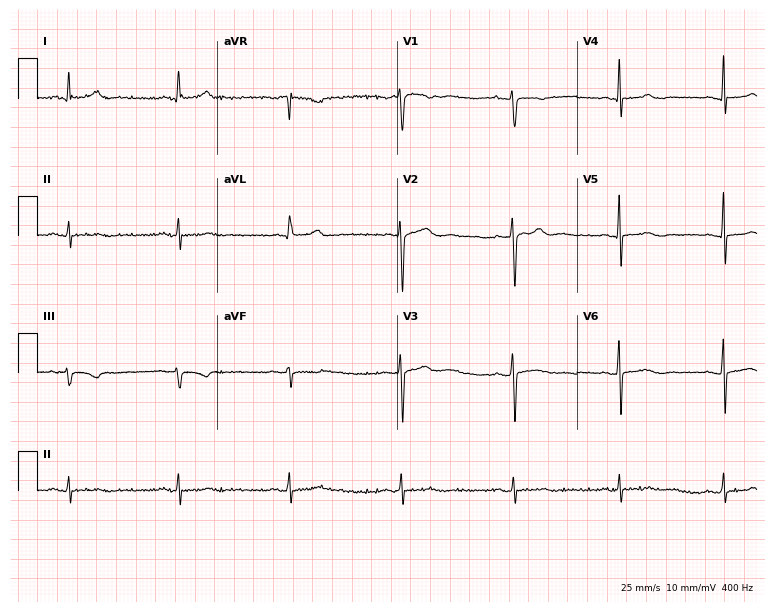
Electrocardiogram (7.3-second recording at 400 Hz), a 56-year-old female. Of the six screened findings (first-degree AV block, right bundle branch block, left bundle branch block, sinus bradycardia, atrial fibrillation, sinus tachycardia), none is recorded.